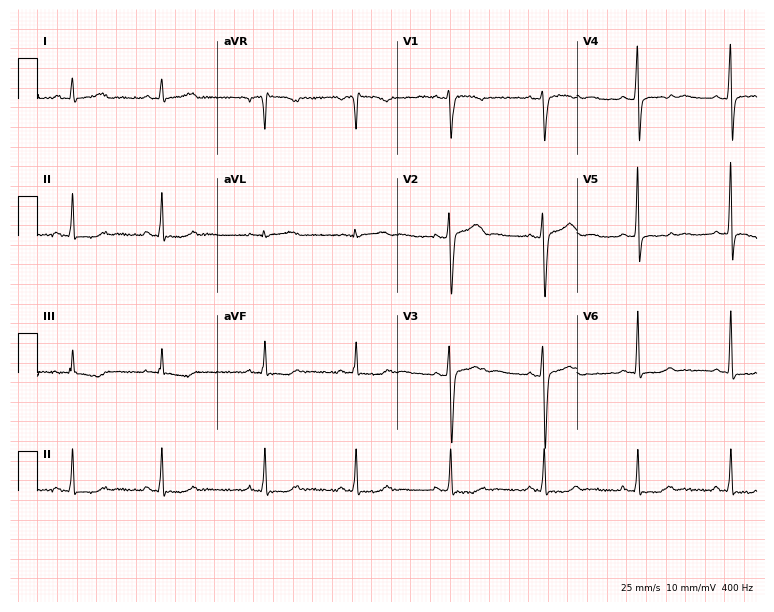
12-lead ECG from a 42-year-old female patient. No first-degree AV block, right bundle branch block (RBBB), left bundle branch block (LBBB), sinus bradycardia, atrial fibrillation (AF) or sinus tachycardia recorded for this tracing.